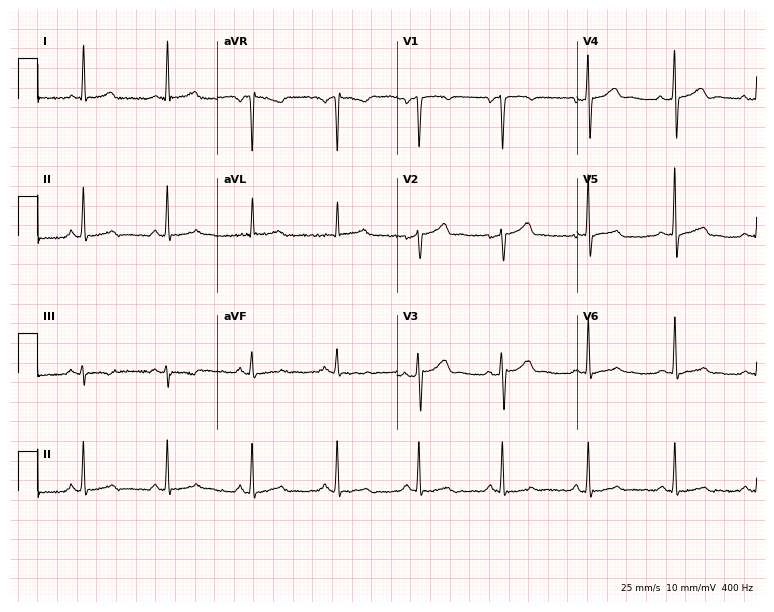
Electrocardiogram (7.3-second recording at 400 Hz), a 56-year-old male patient. Overall reading on record: normal ECG.